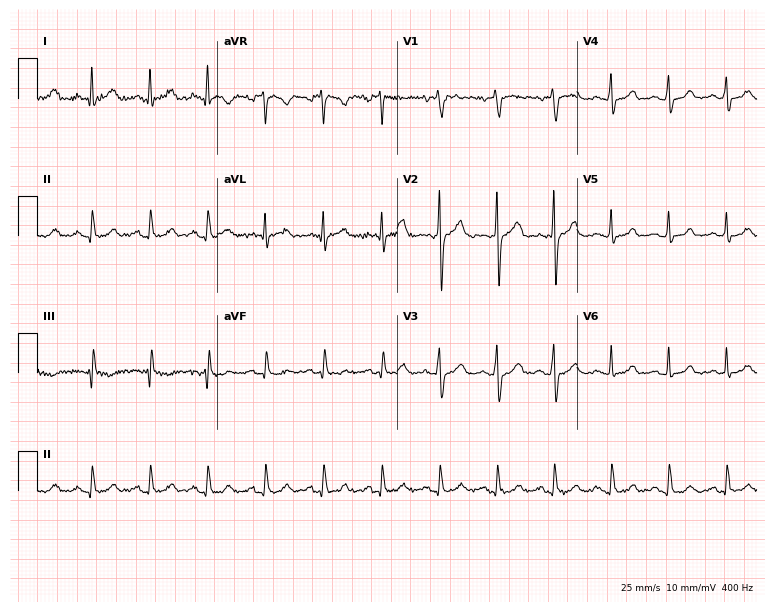
12-lead ECG from a 30-year-old man. Screened for six findings — first-degree AV block, right bundle branch block, left bundle branch block, sinus bradycardia, atrial fibrillation, sinus tachycardia — none is recorded.